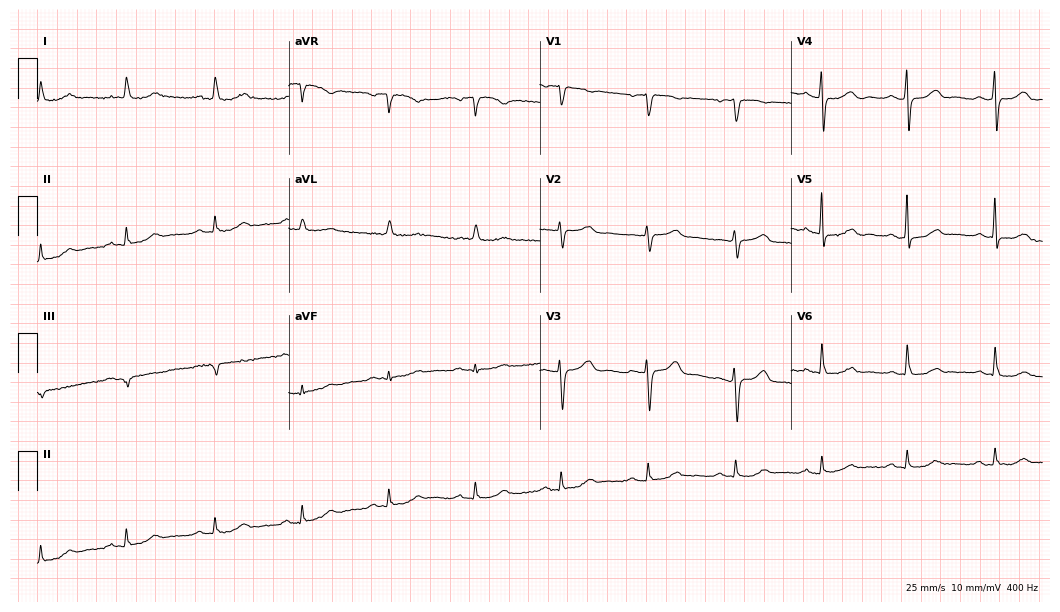
ECG (10.2-second recording at 400 Hz) — a female patient, 73 years old. Labelled as a normal ECG.